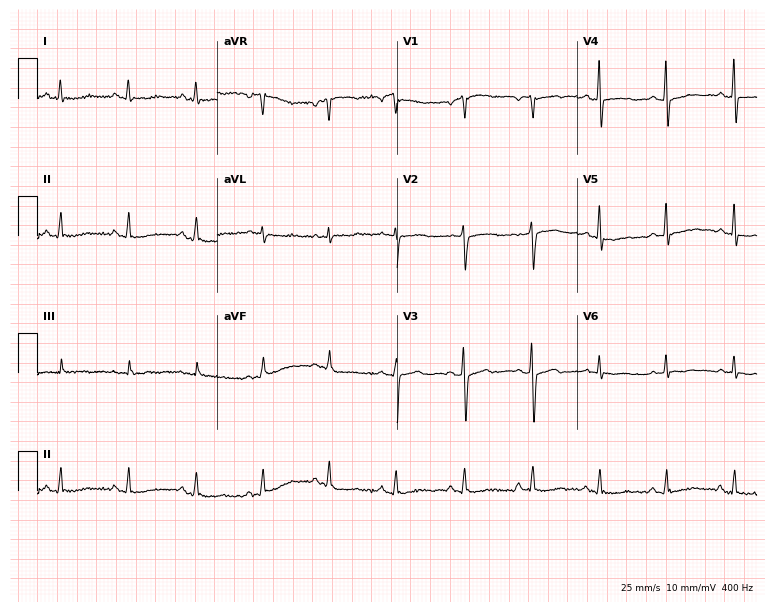
12-lead ECG from a 66-year-old woman. No first-degree AV block, right bundle branch block, left bundle branch block, sinus bradycardia, atrial fibrillation or sinus tachycardia recorded for this tracing. Other findings, if any, are not listed.